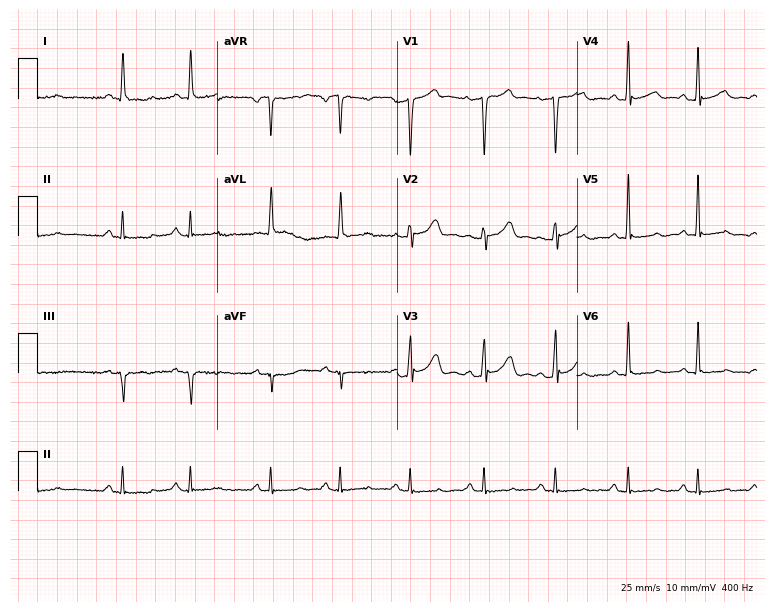
Standard 12-lead ECG recorded from an 81-year-old male. None of these six findings is recorded: first-degree AV block, right bundle branch block, left bundle branch block, sinus bradycardia, atrial fibrillation, sinus tachycardia. Other findings, if any, are not listed.